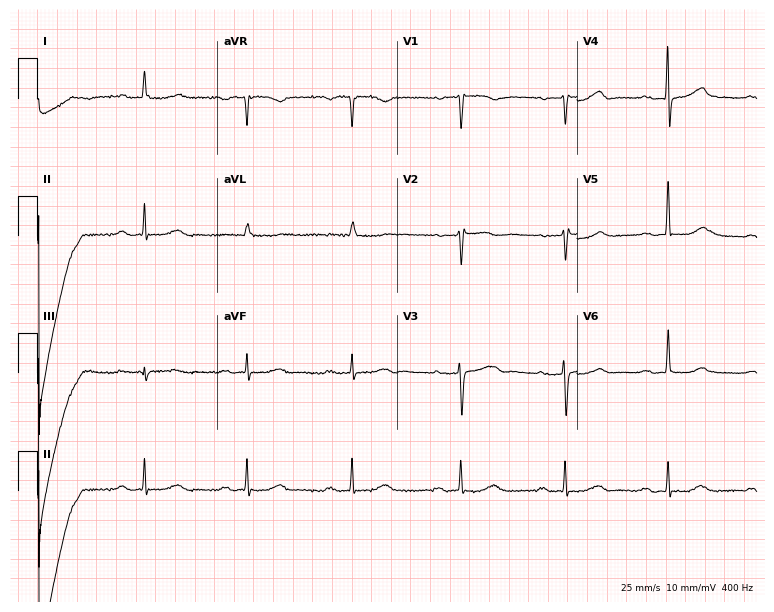
12-lead ECG from a 77-year-old female patient (7.3-second recording at 400 Hz). Shows first-degree AV block.